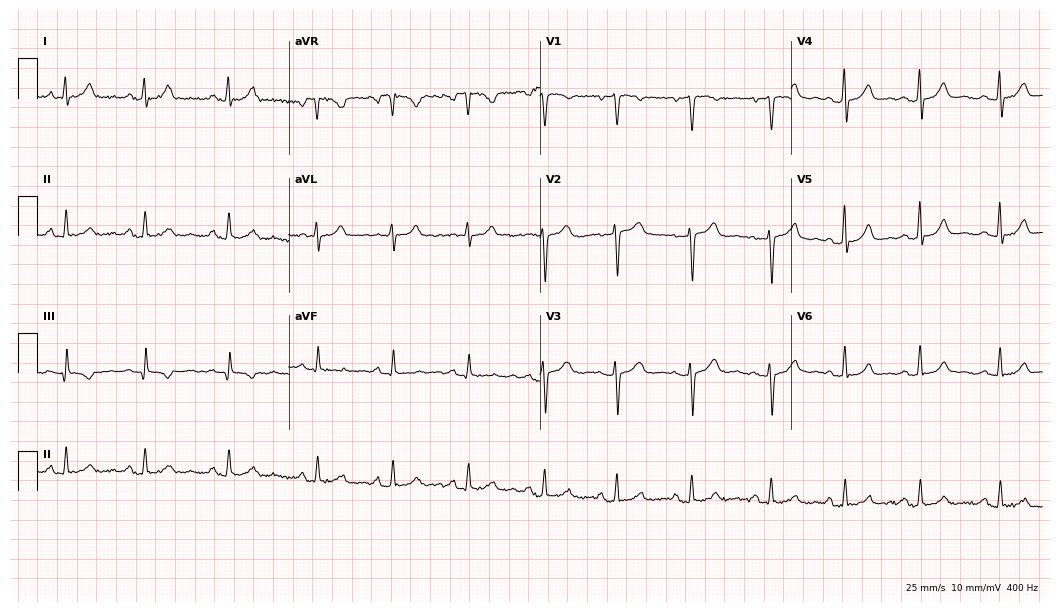
Standard 12-lead ECG recorded from a 38-year-old female patient. Read as a normal ECG.